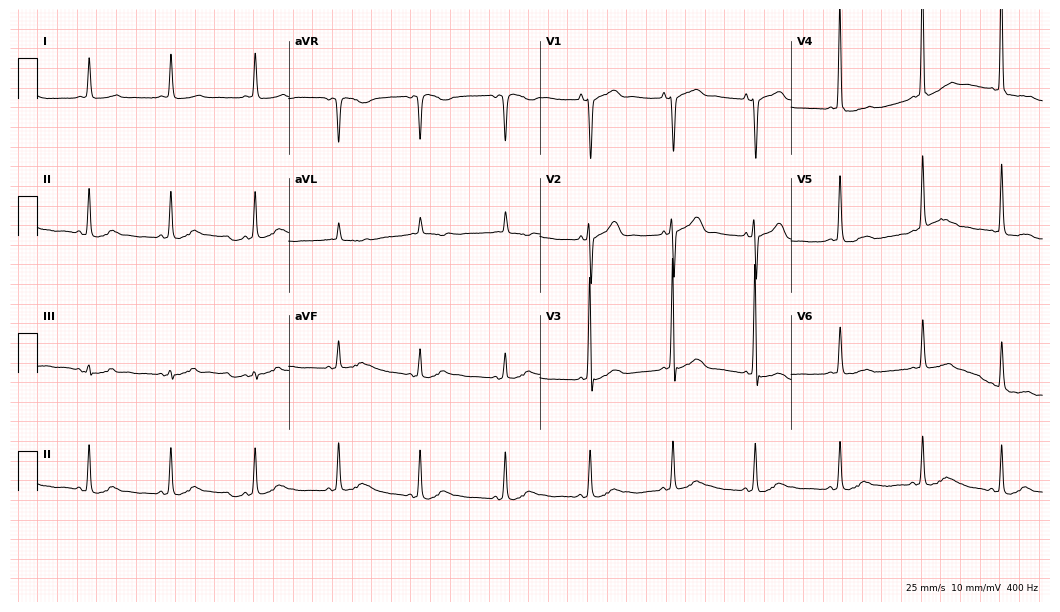
12-lead ECG from an 84-year-old woman. Screened for six findings — first-degree AV block, right bundle branch block, left bundle branch block, sinus bradycardia, atrial fibrillation, sinus tachycardia — none is recorded.